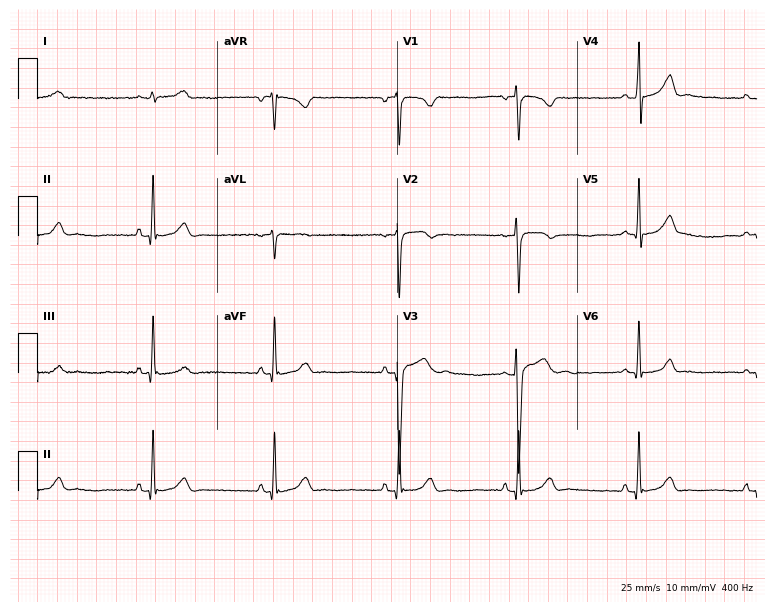
Electrocardiogram, a 29-year-old male. Of the six screened findings (first-degree AV block, right bundle branch block (RBBB), left bundle branch block (LBBB), sinus bradycardia, atrial fibrillation (AF), sinus tachycardia), none is recorded. Findings outside these six are not listed.